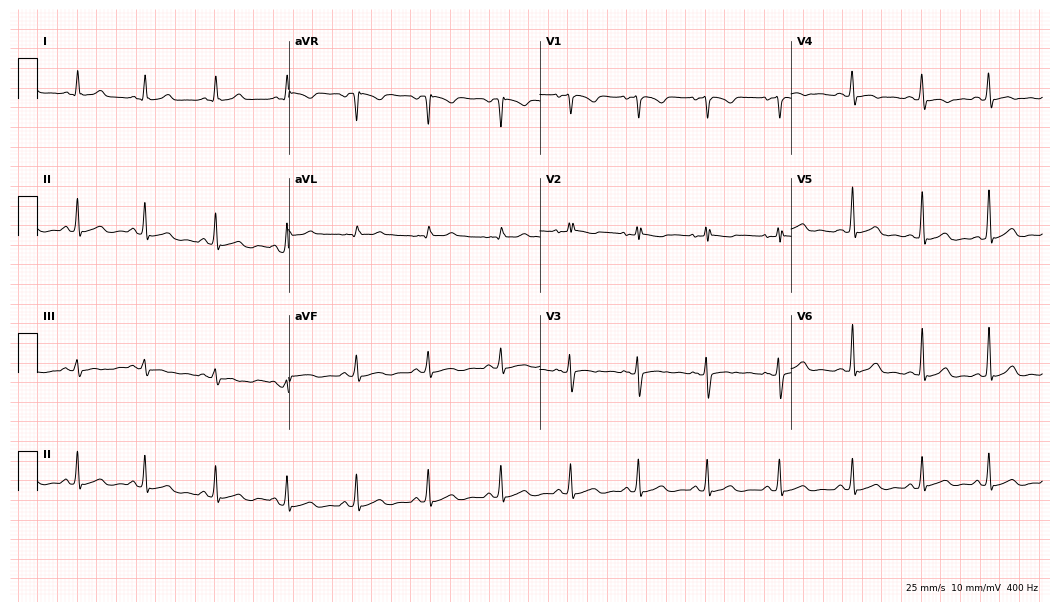
Standard 12-lead ECG recorded from a female, 20 years old (10.2-second recording at 400 Hz). None of these six findings is recorded: first-degree AV block, right bundle branch block (RBBB), left bundle branch block (LBBB), sinus bradycardia, atrial fibrillation (AF), sinus tachycardia.